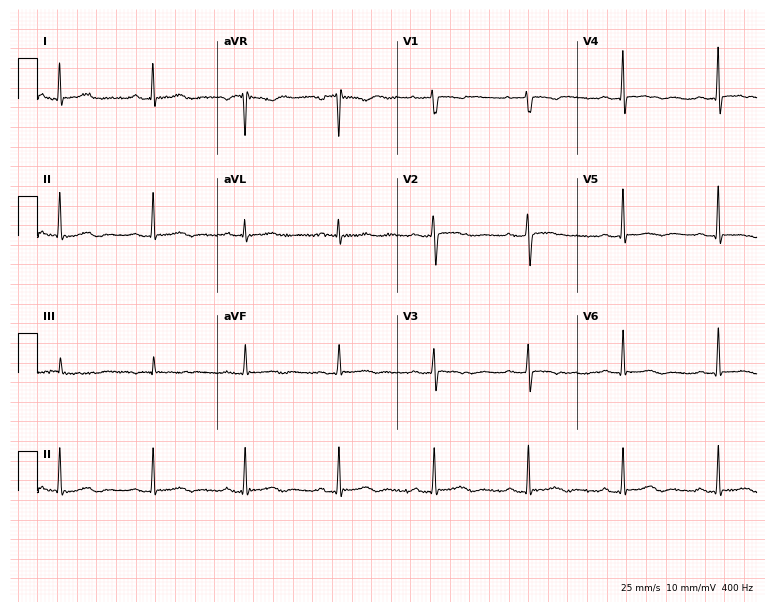
Standard 12-lead ECG recorded from a woman, 50 years old. None of these six findings is recorded: first-degree AV block, right bundle branch block, left bundle branch block, sinus bradycardia, atrial fibrillation, sinus tachycardia. Findings outside these six are not listed.